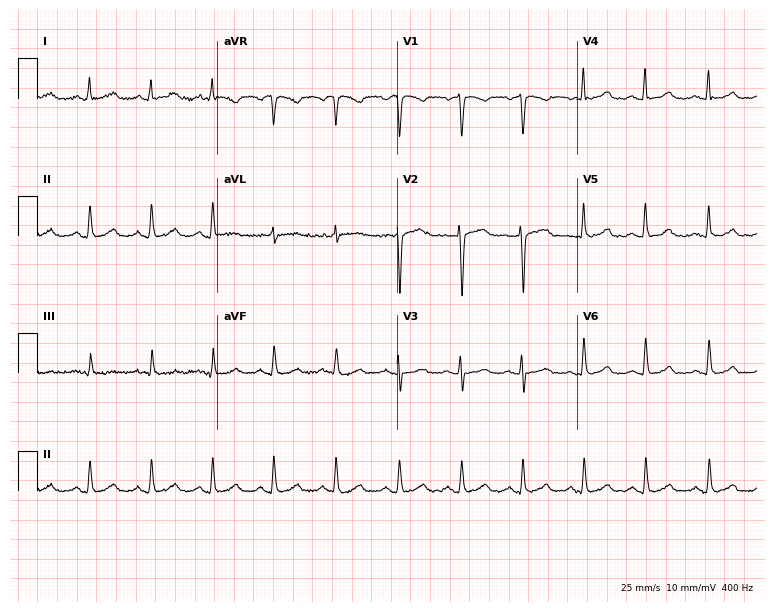
Resting 12-lead electrocardiogram (7.3-second recording at 400 Hz). Patient: a female, 43 years old. Read as a normal ECG.